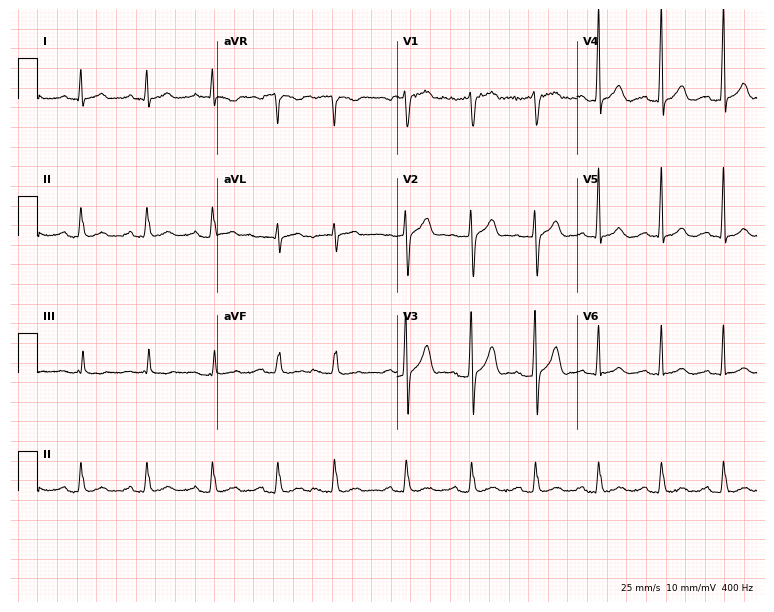
ECG (7.3-second recording at 400 Hz) — a 45-year-old male. Screened for six findings — first-degree AV block, right bundle branch block, left bundle branch block, sinus bradycardia, atrial fibrillation, sinus tachycardia — none is recorded.